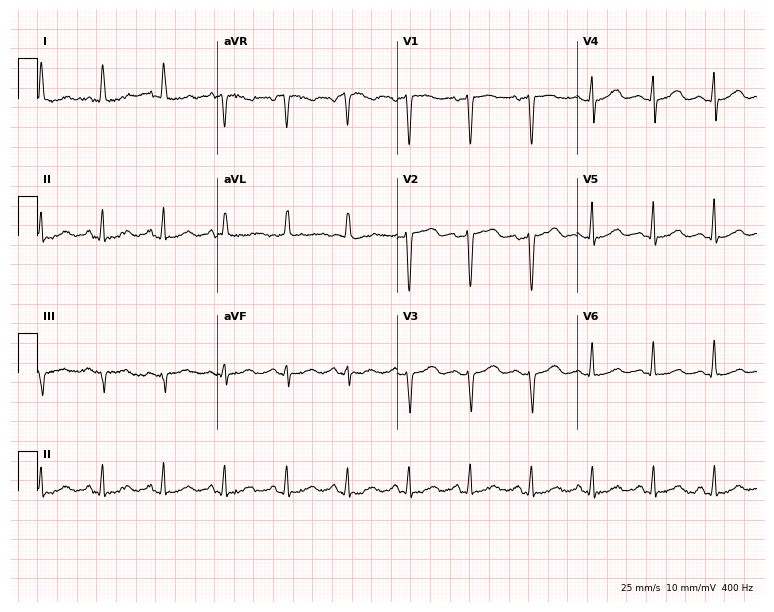
Electrocardiogram, a 63-year-old female patient. Overall reading on record: normal ECG.